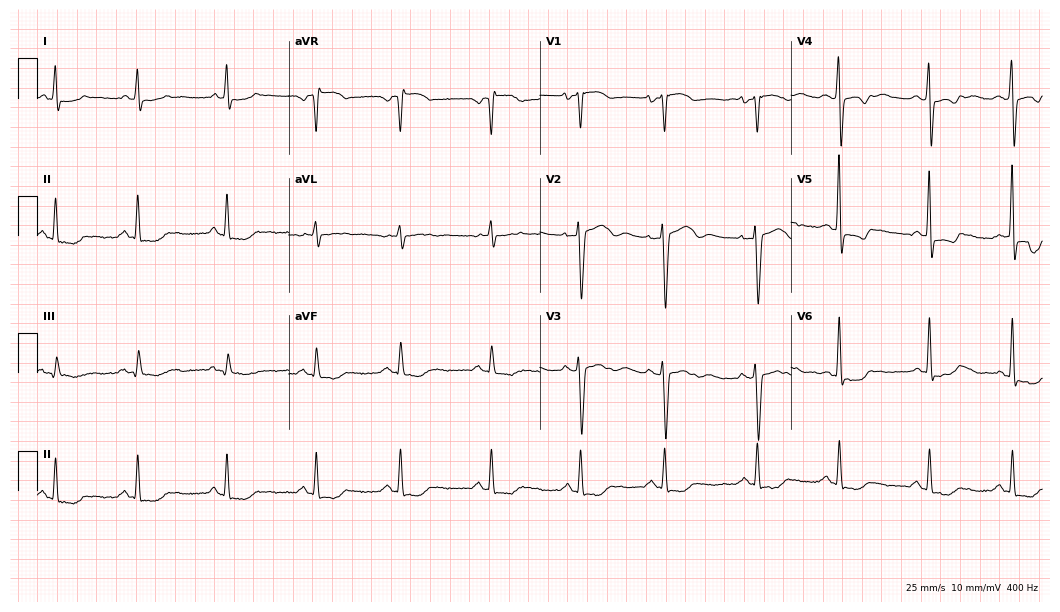
Electrocardiogram (10.2-second recording at 400 Hz), a female, 69 years old. Of the six screened findings (first-degree AV block, right bundle branch block (RBBB), left bundle branch block (LBBB), sinus bradycardia, atrial fibrillation (AF), sinus tachycardia), none is recorded. Findings outside these six are not listed.